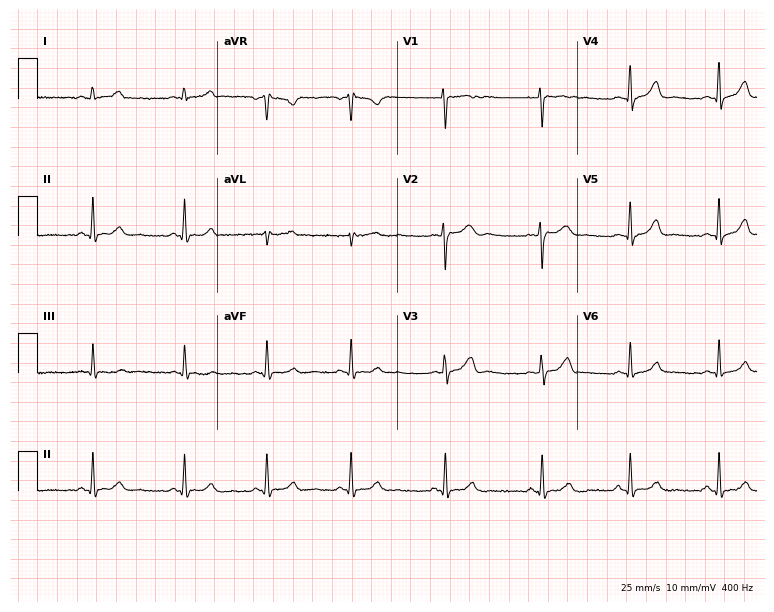
Standard 12-lead ECG recorded from a female patient, 28 years old. None of these six findings is recorded: first-degree AV block, right bundle branch block, left bundle branch block, sinus bradycardia, atrial fibrillation, sinus tachycardia. Other findings, if any, are not listed.